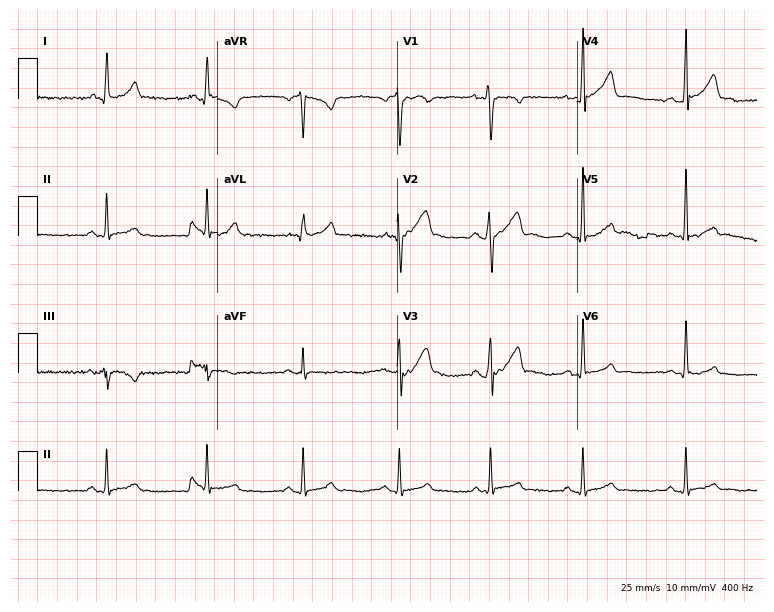
Electrocardiogram (7.3-second recording at 400 Hz), a male patient, 23 years old. Overall reading on record: normal ECG.